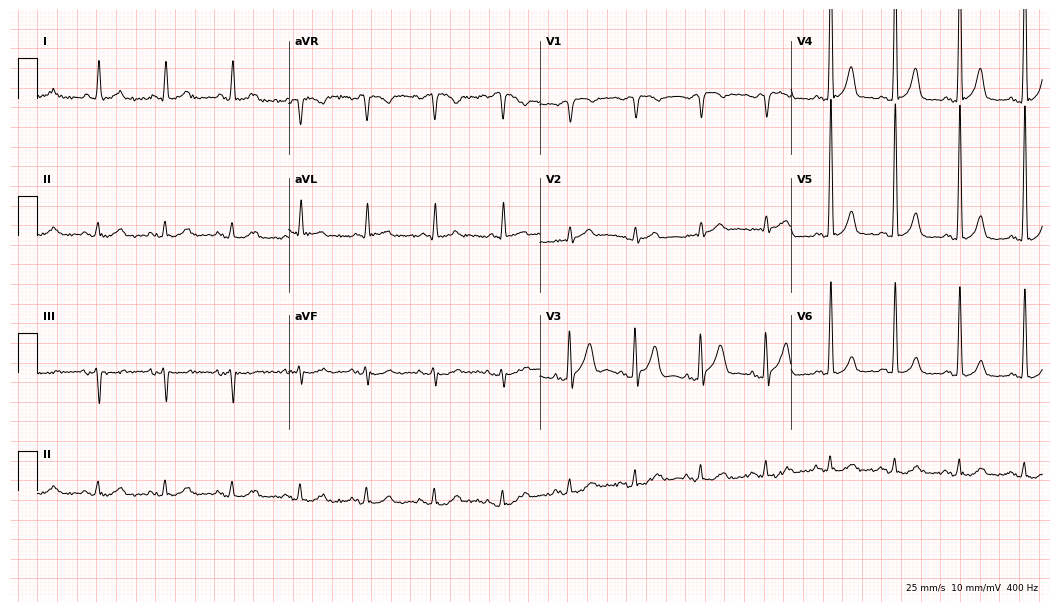
Standard 12-lead ECG recorded from a 77-year-old man. Read as a normal ECG.